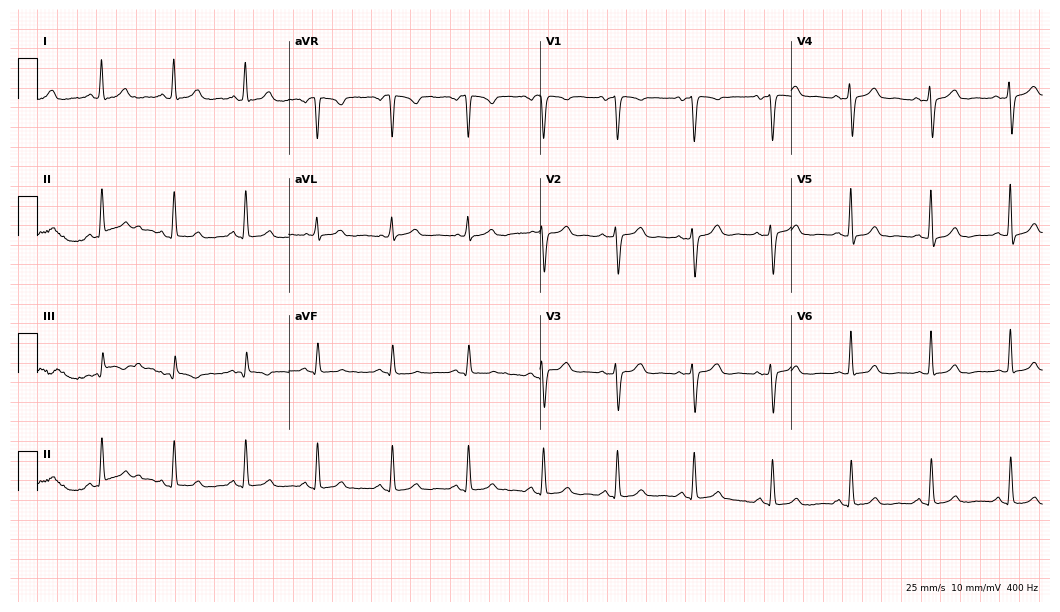
12-lead ECG from a 55-year-old female. Recorded interpretation: within normal limits.